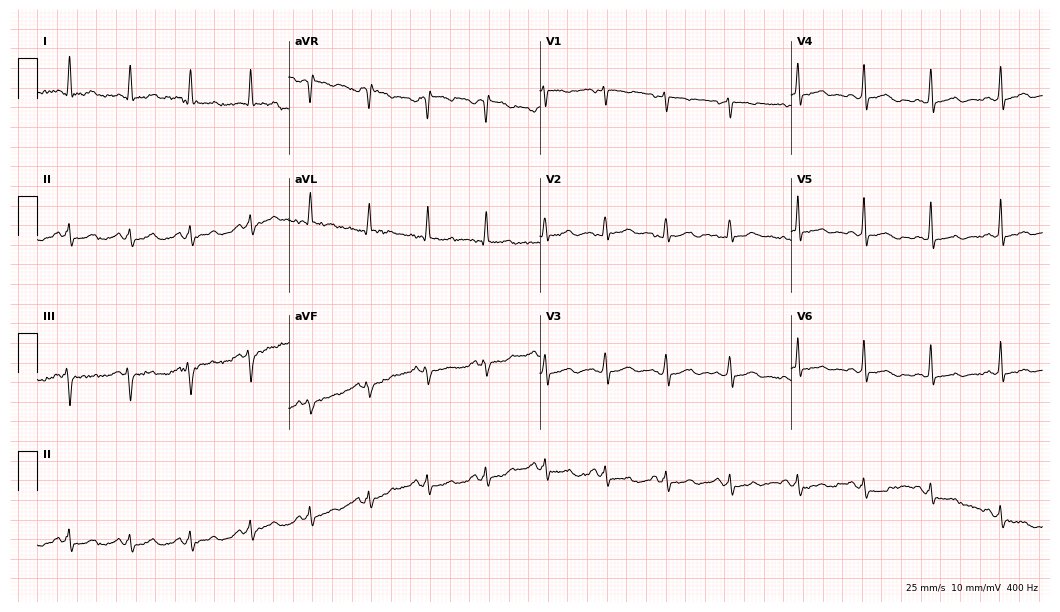
12-lead ECG (10.2-second recording at 400 Hz) from a female, 42 years old. Labelled as a normal ECG.